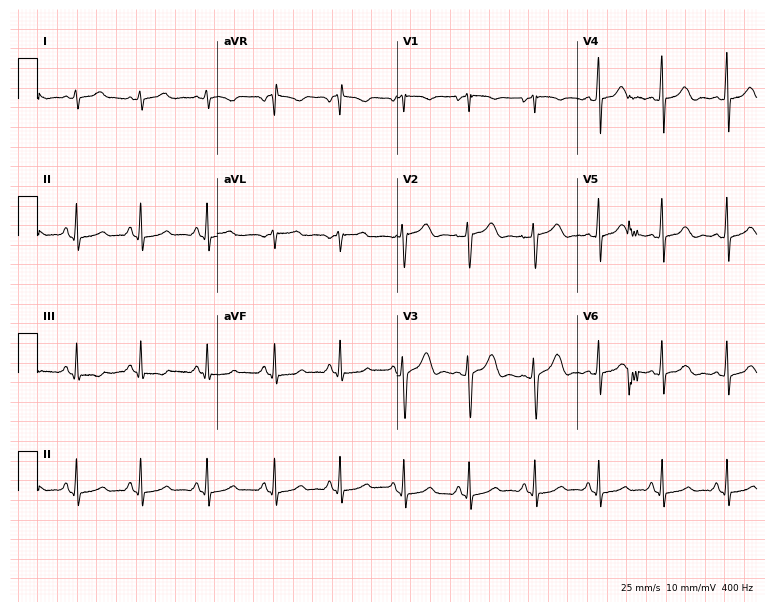
Resting 12-lead electrocardiogram (7.3-second recording at 400 Hz). Patient: a woman, 42 years old. Read as a normal ECG.